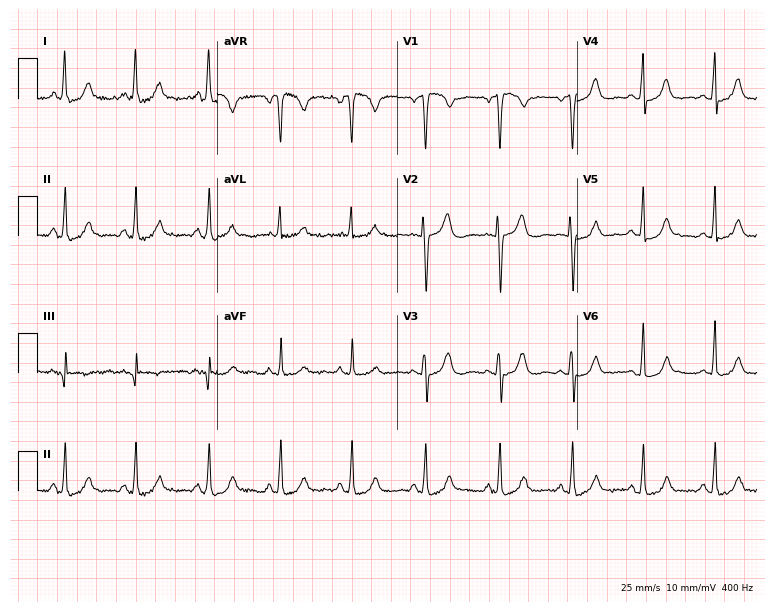
Standard 12-lead ECG recorded from a 23-year-old female patient (7.3-second recording at 400 Hz). Read as a normal ECG.